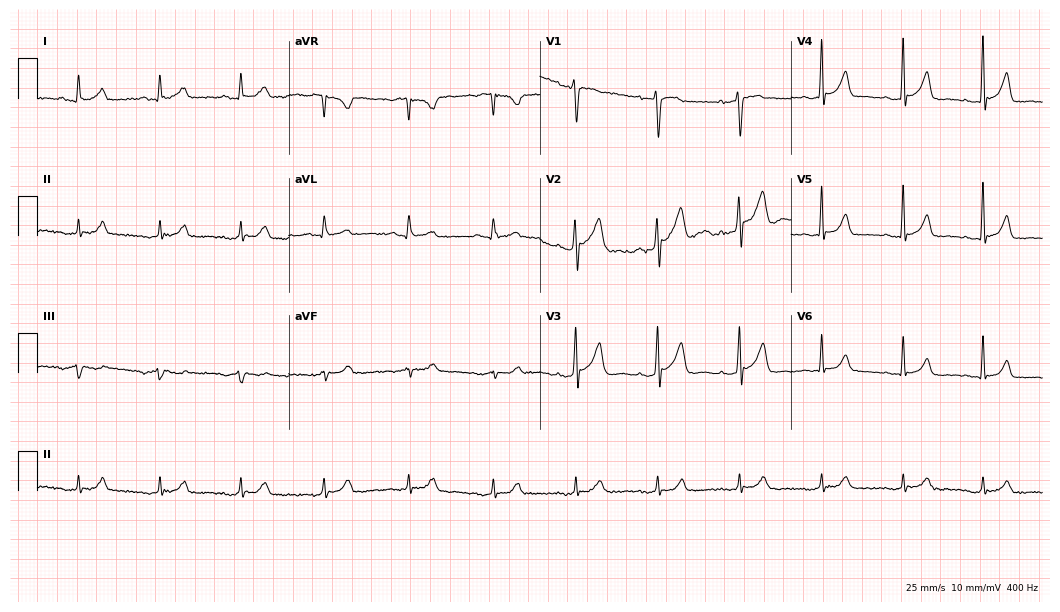
Resting 12-lead electrocardiogram (10.2-second recording at 400 Hz). Patient: a 46-year-old male. Read as a normal ECG.